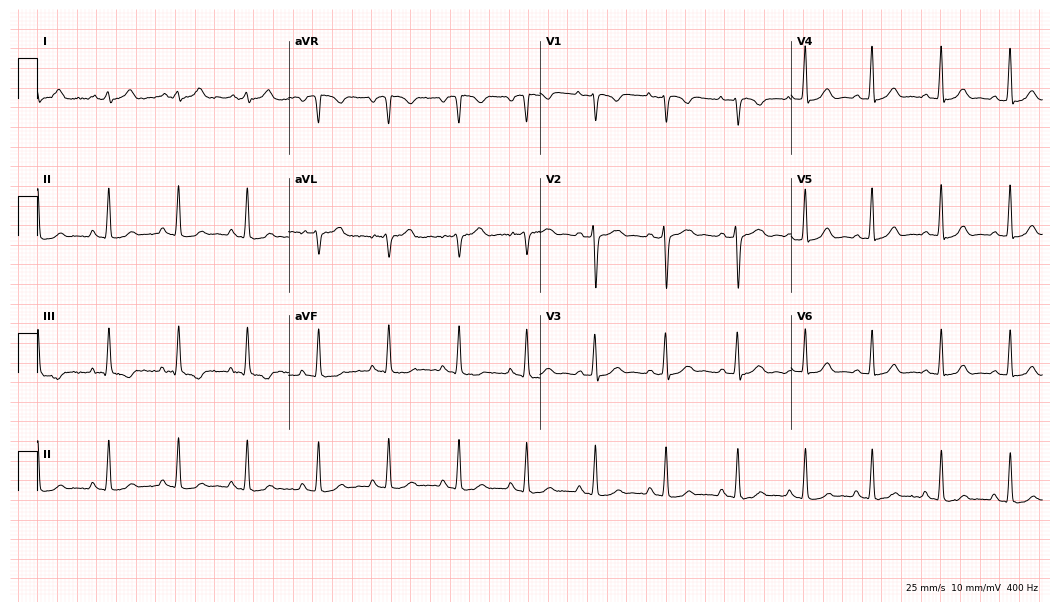
Resting 12-lead electrocardiogram. Patient: a 22-year-old woman. Read as a normal ECG.